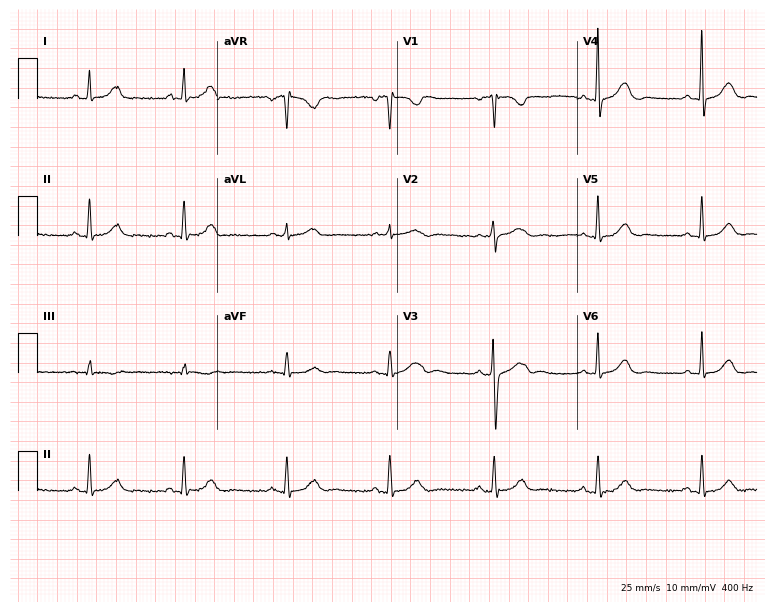
Standard 12-lead ECG recorded from a 54-year-old woman. Read as a normal ECG.